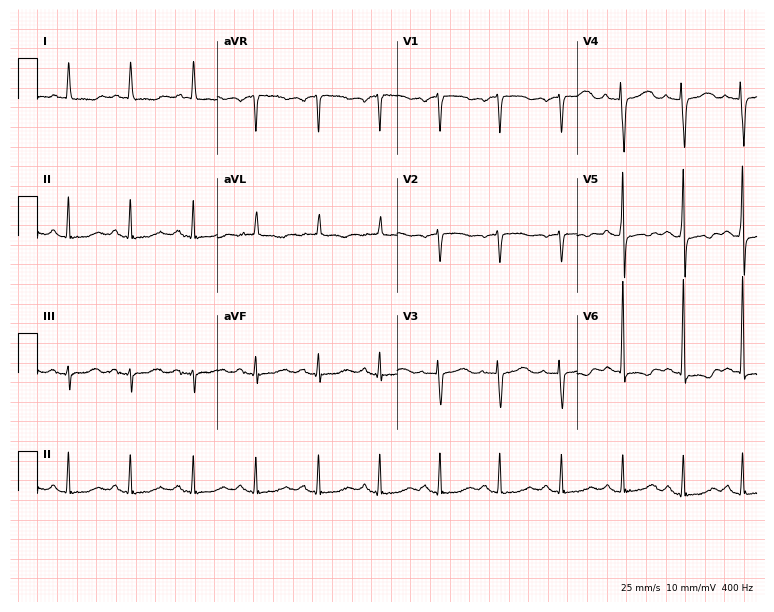
Resting 12-lead electrocardiogram. Patient: a 79-year-old female. None of these six findings is recorded: first-degree AV block, right bundle branch block (RBBB), left bundle branch block (LBBB), sinus bradycardia, atrial fibrillation (AF), sinus tachycardia. Only these six findings were labelled.